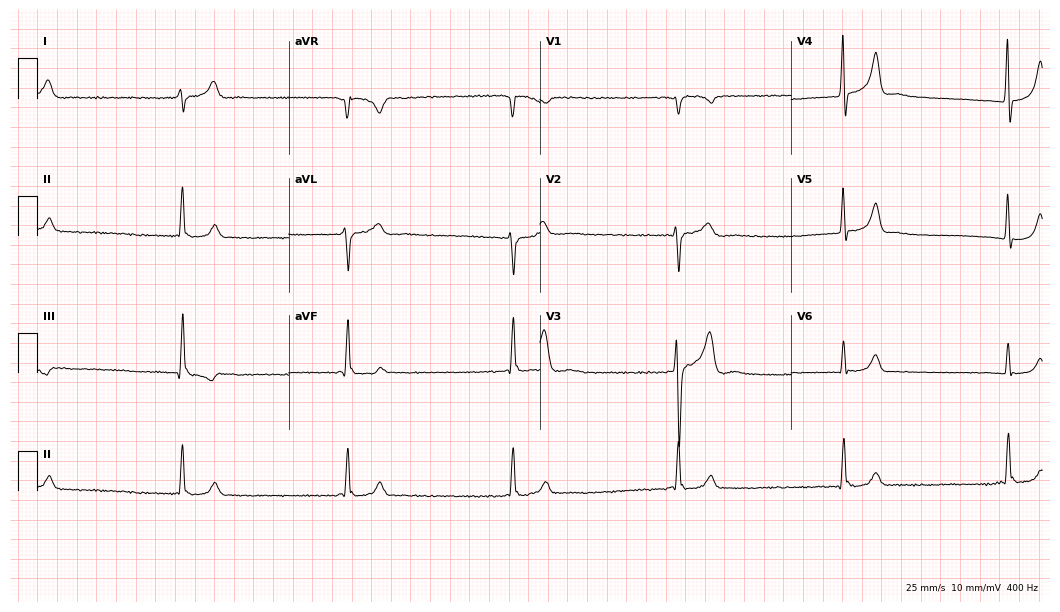
ECG (10.2-second recording at 400 Hz) — a 38-year-old man. Screened for six findings — first-degree AV block, right bundle branch block, left bundle branch block, sinus bradycardia, atrial fibrillation, sinus tachycardia — none is recorded. Only these six findings were labelled.